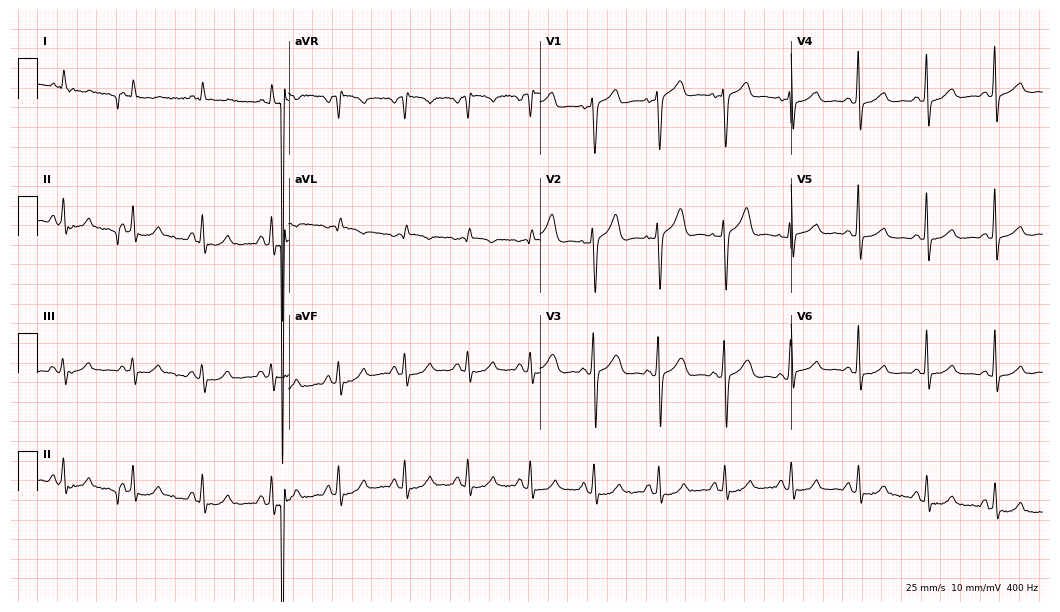
Standard 12-lead ECG recorded from a male patient, 71 years old. None of these six findings is recorded: first-degree AV block, right bundle branch block, left bundle branch block, sinus bradycardia, atrial fibrillation, sinus tachycardia.